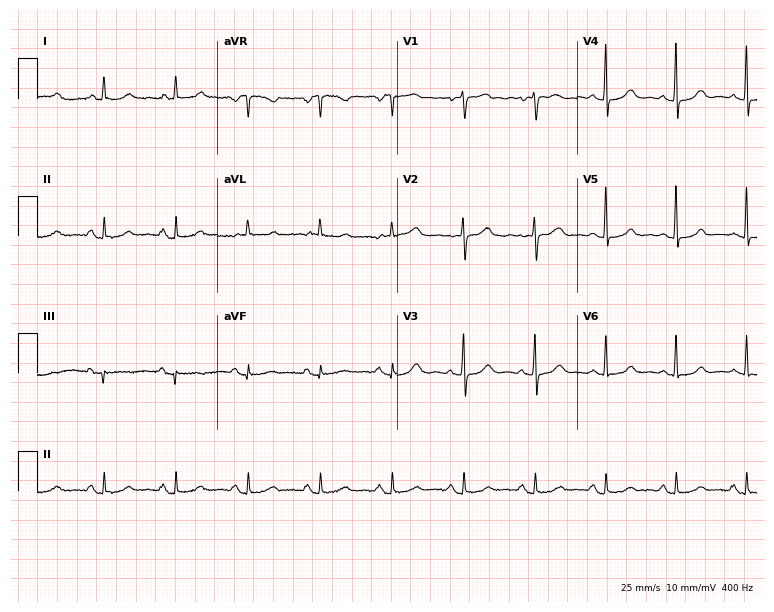
Resting 12-lead electrocardiogram (7.3-second recording at 400 Hz). Patient: a 72-year-old female. None of these six findings is recorded: first-degree AV block, right bundle branch block, left bundle branch block, sinus bradycardia, atrial fibrillation, sinus tachycardia. Findings outside these six are not listed.